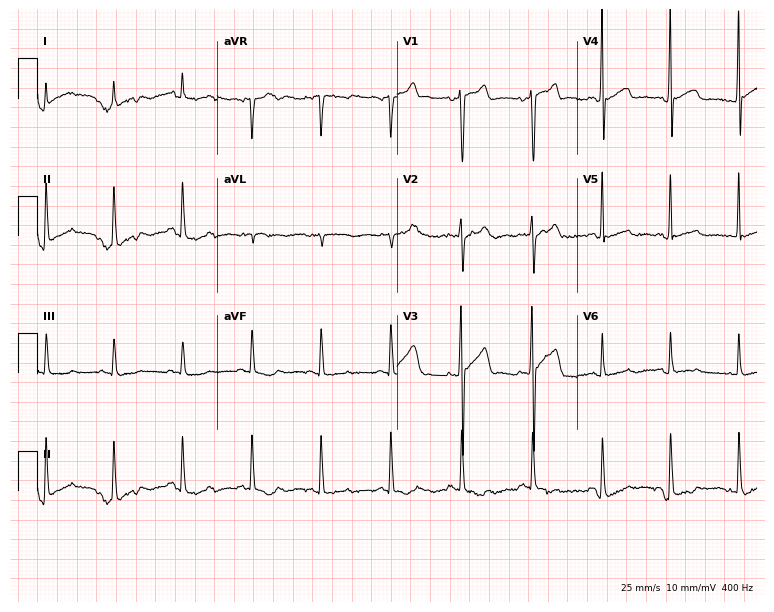
Standard 12-lead ECG recorded from a 43-year-old male patient (7.3-second recording at 400 Hz). None of these six findings is recorded: first-degree AV block, right bundle branch block, left bundle branch block, sinus bradycardia, atrial fibrillation, sinus tachycardia. Other findings, if any, are not listed.